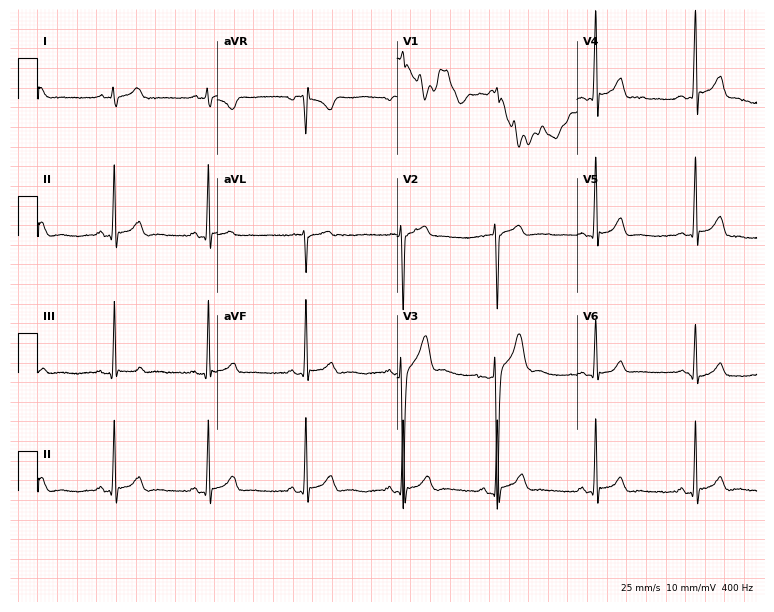
Resting 12-lead electrocardiogram. Patient: a 38-year-old male. None of these six findings is recorded: first-degree AV block, right bundle branch block (RBBB), left bundle branch block (LBBB), sinus bradycardia, atrial fibrillation (AF), sinus tachycardia.